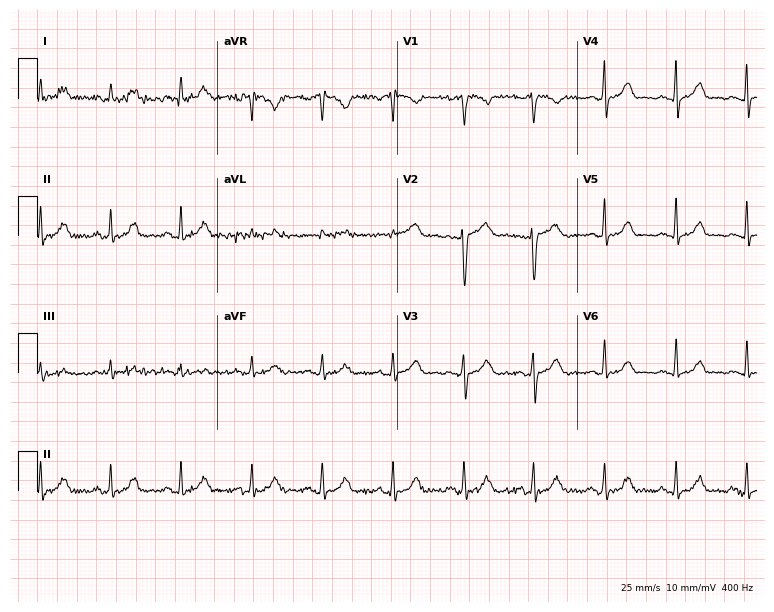
12-lead ECG from a woman, 49 years old (7.3-second recording at 400 Hz). No first-degree AV block, right bundle branch block, left bundle branch block, sinus bradycardia, atrial fibrillation or sinus tachycardia recorded for this tracing.